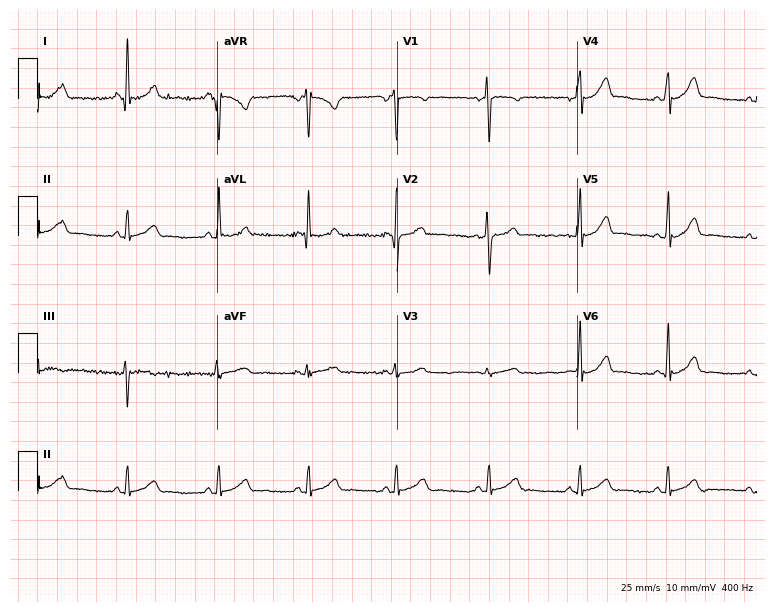
Standard 12-lead ECG recorded from a female, 27 years old (7.3-second recording at 400 Hz). Read as a normal ECG.